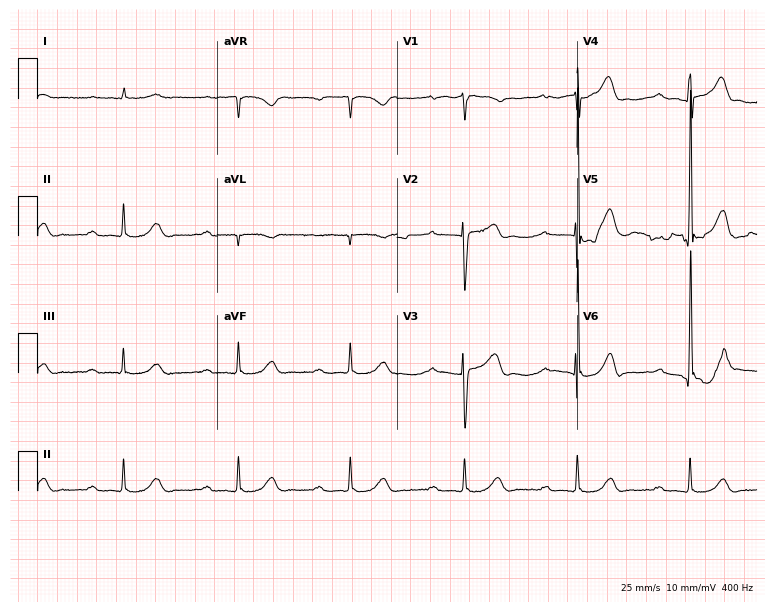
Standard 12-lead ECG recorded from an 85-year-old man. The tracing shows first-degree AV block.